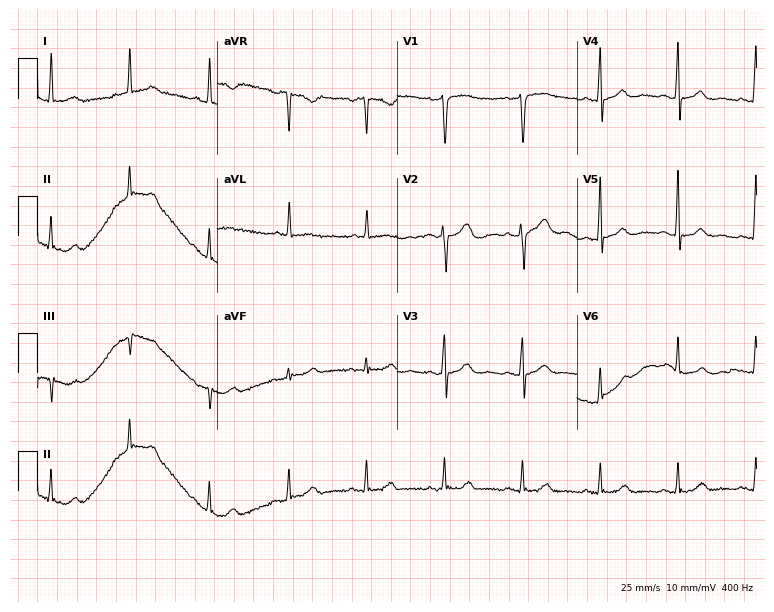
Standard 12-lead ECG recorded from a woman, 53 years old (7.3-second recording at 400 Hz). Read as a normal ECG.